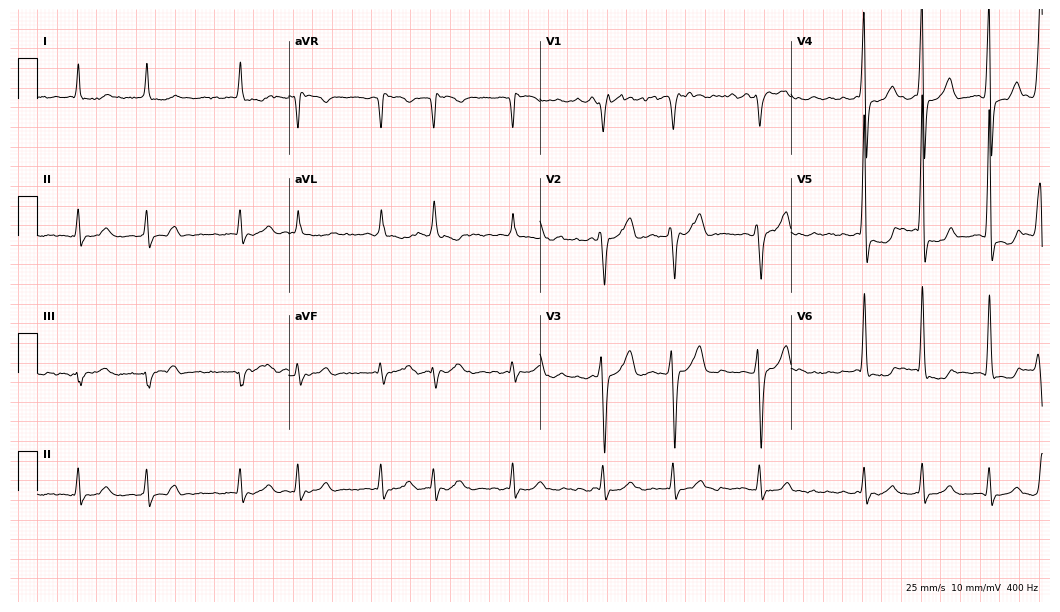
ECG — a 70-year-old male patient. Findings include atrial fibrillation.